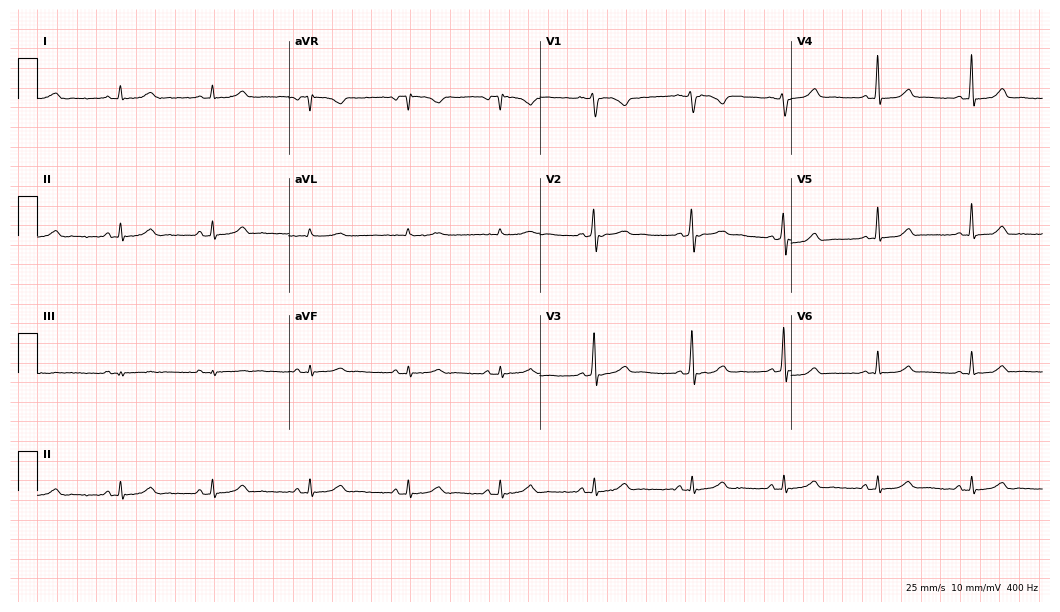
12-lead ECG from a 46-year-old woman (10.2-second recording at 400 Hz). Recorded interpretation: within normal limits.